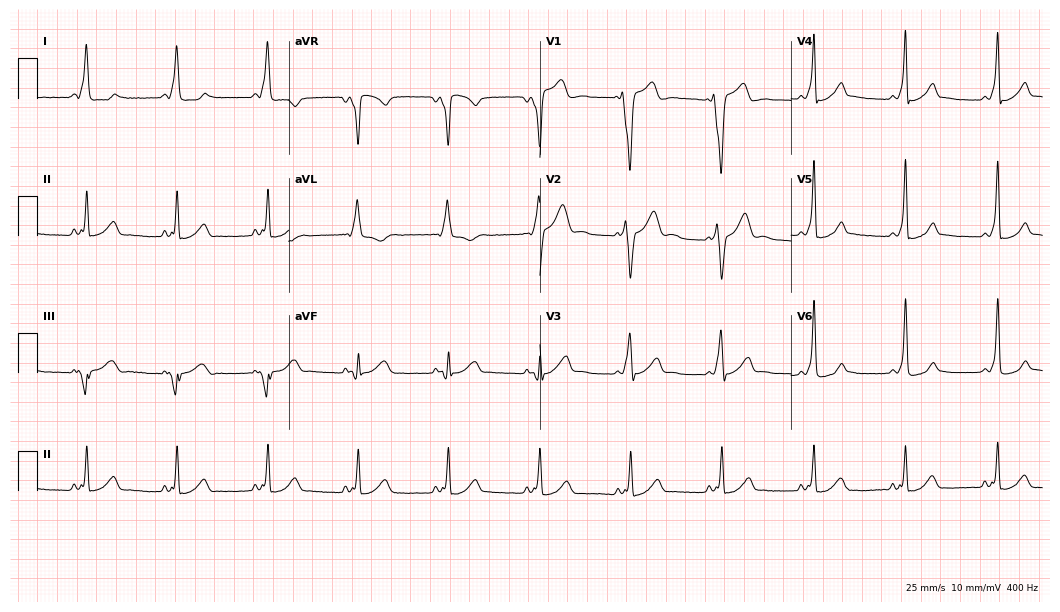
Electrocardiogram (10.2-second recording at 400 Hz), a female, 19 years old. Of the six screened findings (first-degree AV block, right bundle branch block (RBBB), left bundle branch block (LBBB), sinus bradycardia, atrial fibrillation (AF), sinus tachycardia), none is recorded. Only these six findings were labelled.